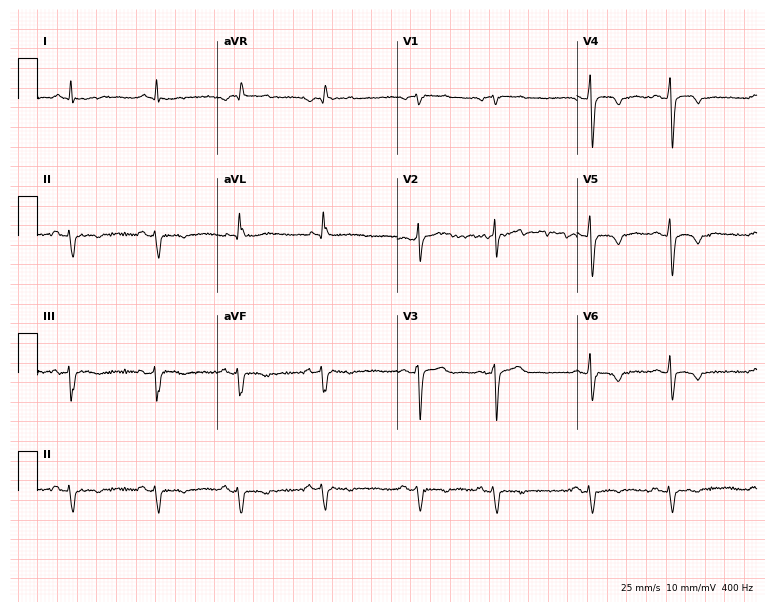
Electrocardiogram (7.3-second recording at 400 Hz), a 73-year-old male patient. Of the six screened findings (first-degree AV block, right bundle branch block, left bundle branch block, sinus bradycardia, atrial fibrillation, sinus tachycardia), none is recorded. Other findings, if any, are not listed.